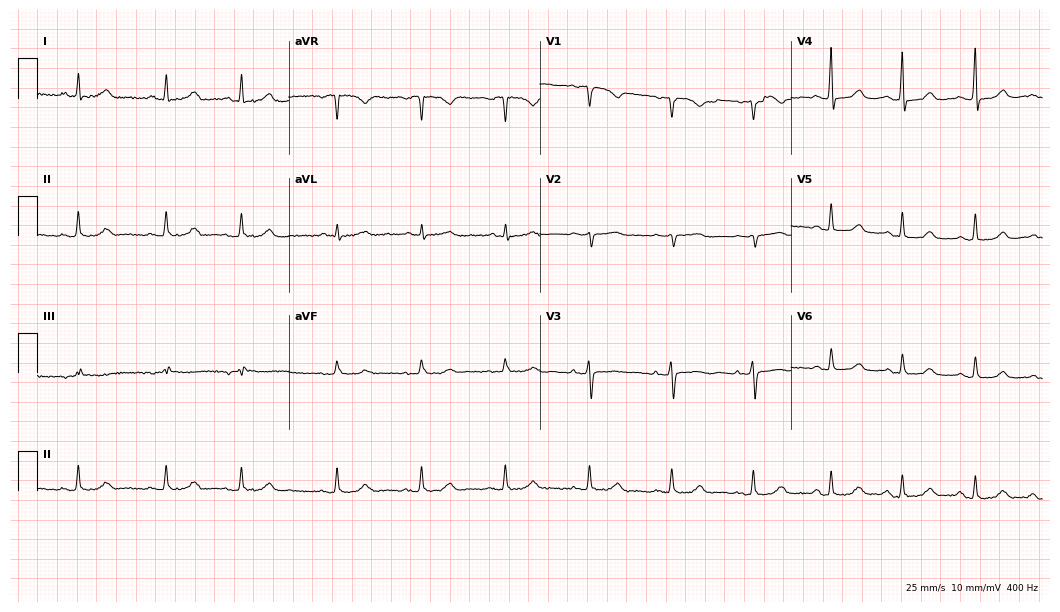
Standard 12-lead ECG recorded from a 74-year-old female patient (10.2-second recording at 400 Hz). Read as a normal ECG.